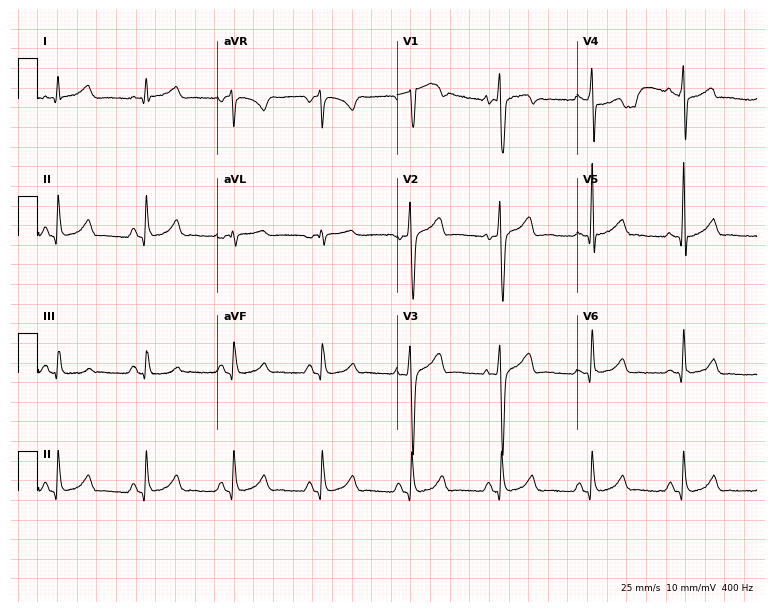
ECG — an 18-year-old male patient. Labelled as a normal ECG.